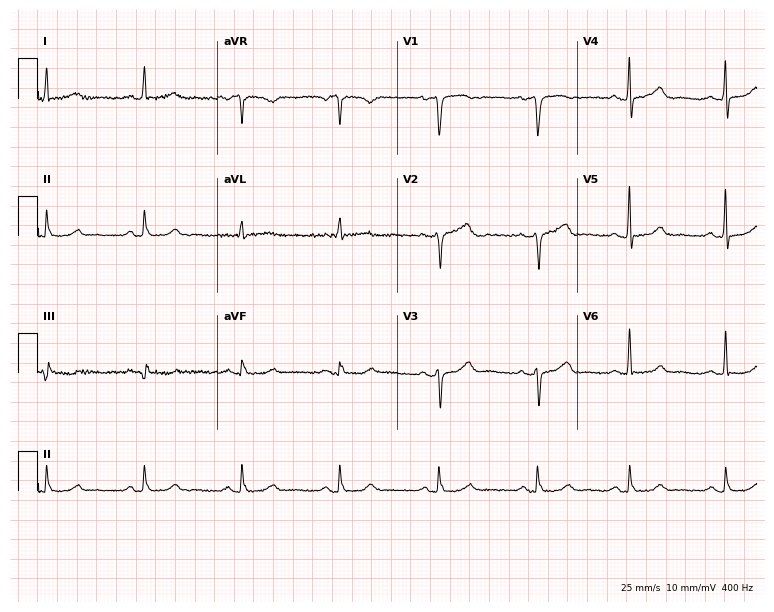
ECG — a 65-year-old female patient. Screened for six findings — first-degree AV block, right bundle branch block (RBBB), left bundle branch block (LBBB), sinus bradycardia, atrial fibrillation (AF), sinus tachycardia — none is recorded.